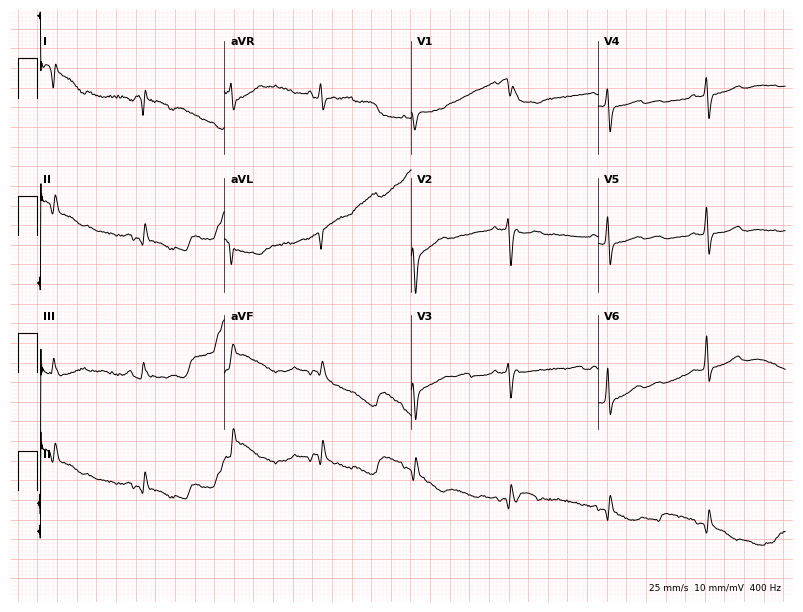
ECG (7.6-second recording at 400 Hz) — a female patient, 60 years old. Screened for six findings — first-degree AV block, right bundle branch block, left bundle branch block, sinus bradycardia, atrial fibrillation, sinus tachycardia — none is recorded. Other findings, if any, are not listed.